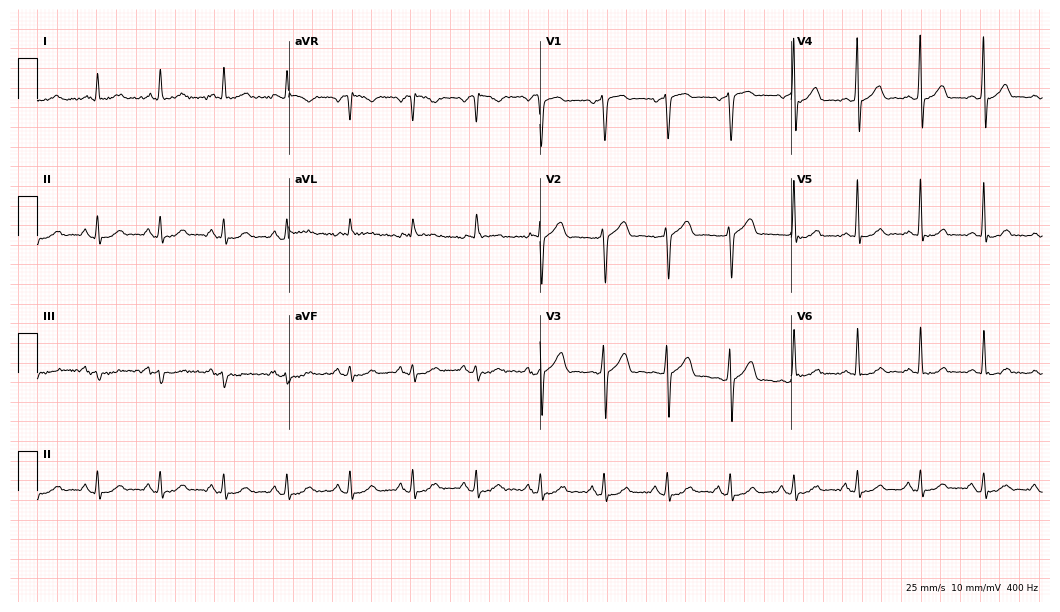
Resting 12-lead electrocardiogram (10.2-second recording at 400 Hz). Patient: a male, 76 years old. None of these six findings is recorded: first-degree AV block, right bundle branch block (RBBB), left bundle branch block (LBBB), sinus bradycardia, atrial fibrillation (AF), sinus tachycardia. Findings outside these six are not listed.